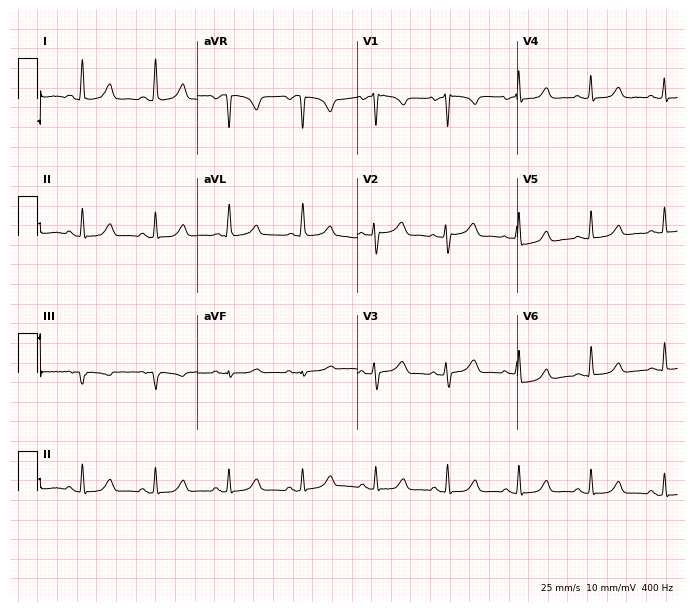
Standard 12-lead ECG recorded from a 66-year-old female (6.5-second recording at 400 Hz). None of these six findings is recorded: first-degree AV block, right bundle branch block, left bundle branch block, sinus bradycardia, atrial fibrillation, sinus tachycardia.